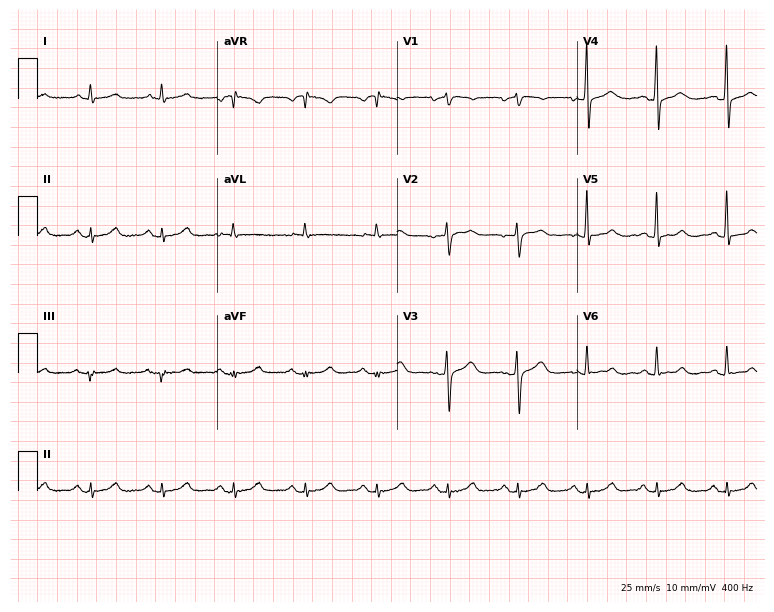
Electrocardiogram, a man, 53 years old. Overall reading on record: normal ECG.